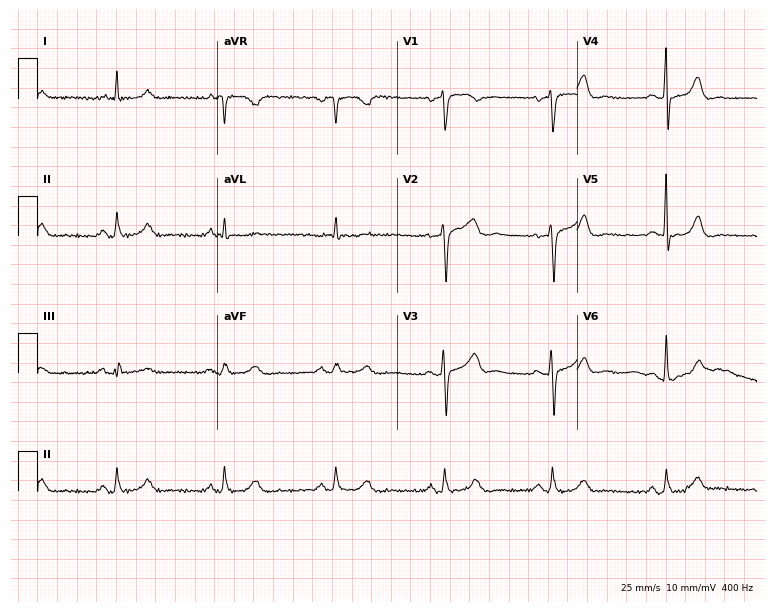
Resting 12-lead electrocardiogram. Patient: a woman, 69 years old. None of these six findings is recorded: first-degree AV block, right bundle branch block, left bundle branch block, sinus bradycardia, atrial fibrillation, sinus tachycardia. Only these six findings were labelled.